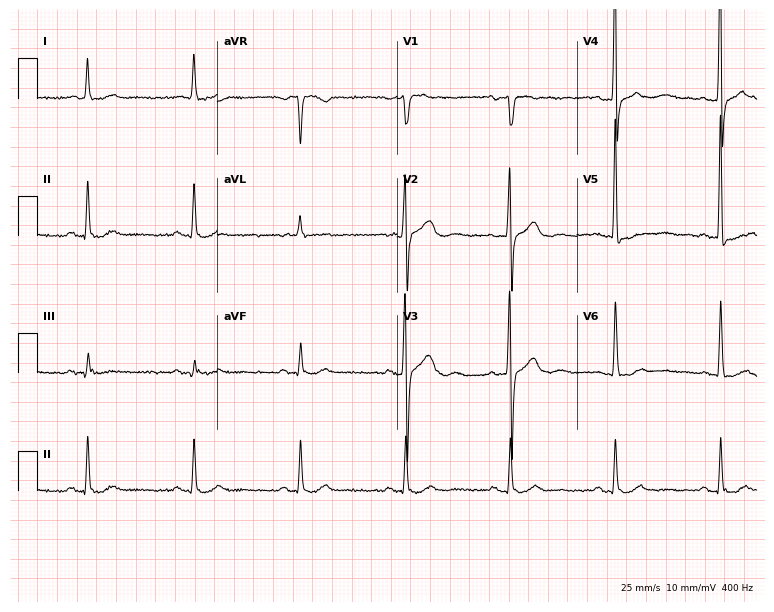
12-lead ECG (7.3-second recording at 400 Hz) from an 81-year-old female. Labelled as a normal ECG.